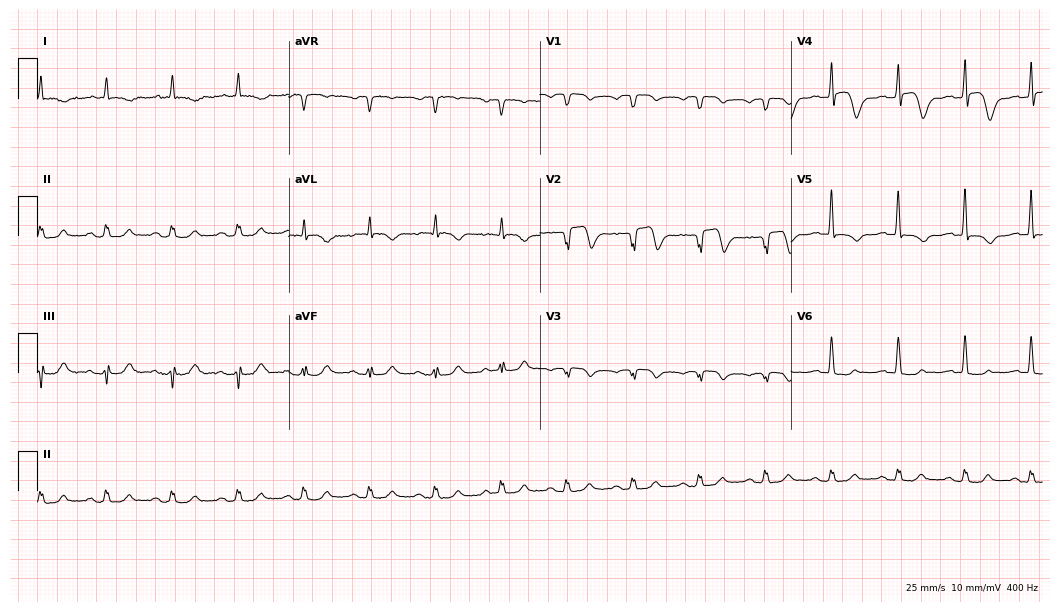
ECG (10.2-second recording at 400 Hz) — a 75-year-old male. Screened for six findings — first-degree AV block, right bundle branch block (RBBB), left bundle branch block (LBBB), sinus bradycardia, atrial fibrillation (AF), sinus tachycardia — none is recorded. Only these six findings were labelled.